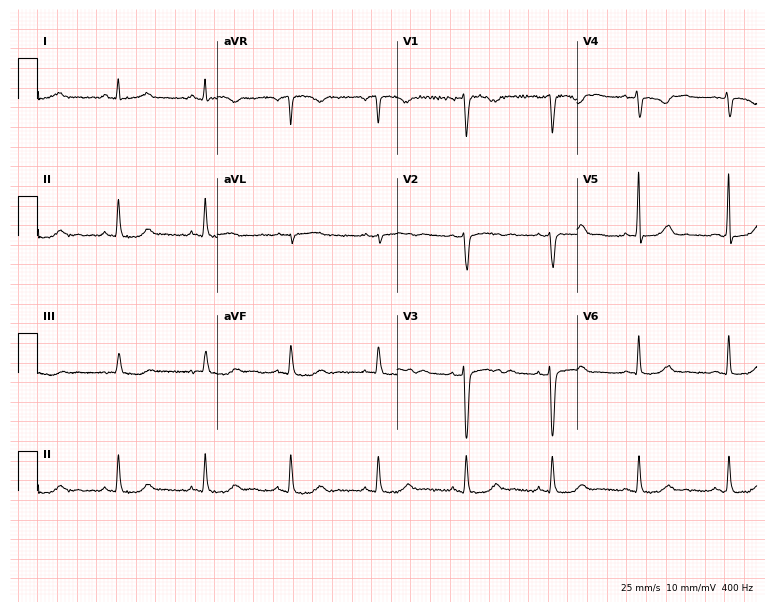
Standard 12-lead ECG recorded from a female, 39 years old (7.3-second recording at 400 Hz). None of these six findings is recorded: first-degree AV block, right bundle branch block, left bundle branch block, sinus bradycardia, atrial fibrillation, sinus tachycardia.